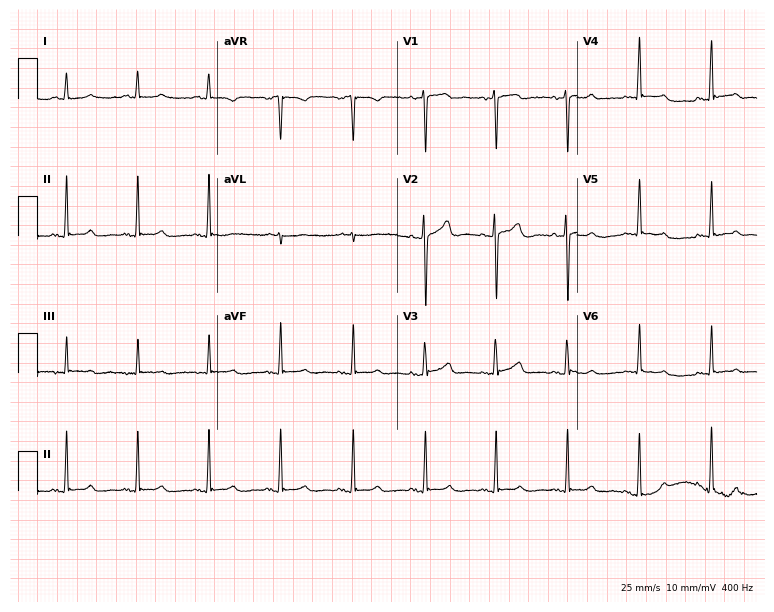
12-lead ECG from a 52-year-old female patient (7.3-second recording at 400 Hz). No first-degree AV block, right bundle branch block (RBBB), left bundle branch block (LBBB), sinus bradycardia, atrial fibrillation (AF) or sinus tachycardia recorded for this tracing.